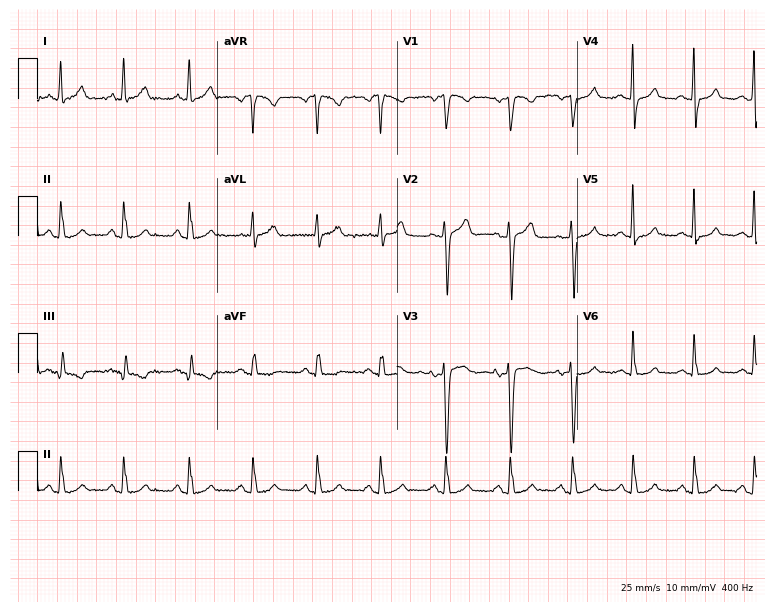
Resting 12-lead electrocardiogram (7.3-second recording at 400 Hz). Patient: a woman, 53 years old. Read as a normal ECG.